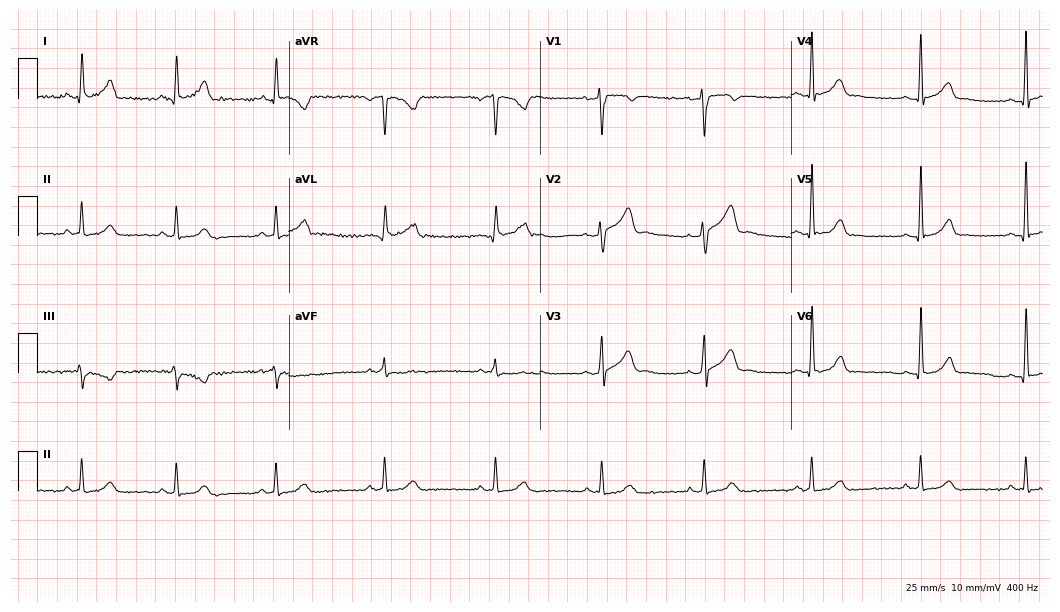
Resting 12-lead electrocardiogram. Patient: a 28-year-old male. Read as a normal ECG.